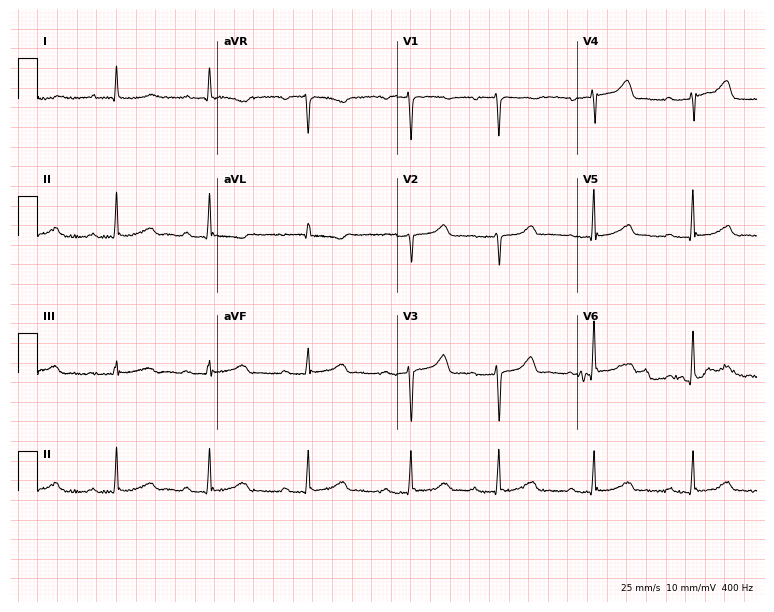
Electrocardiogram, a female, 55 years old. Interpretation includes first-degree AV block.